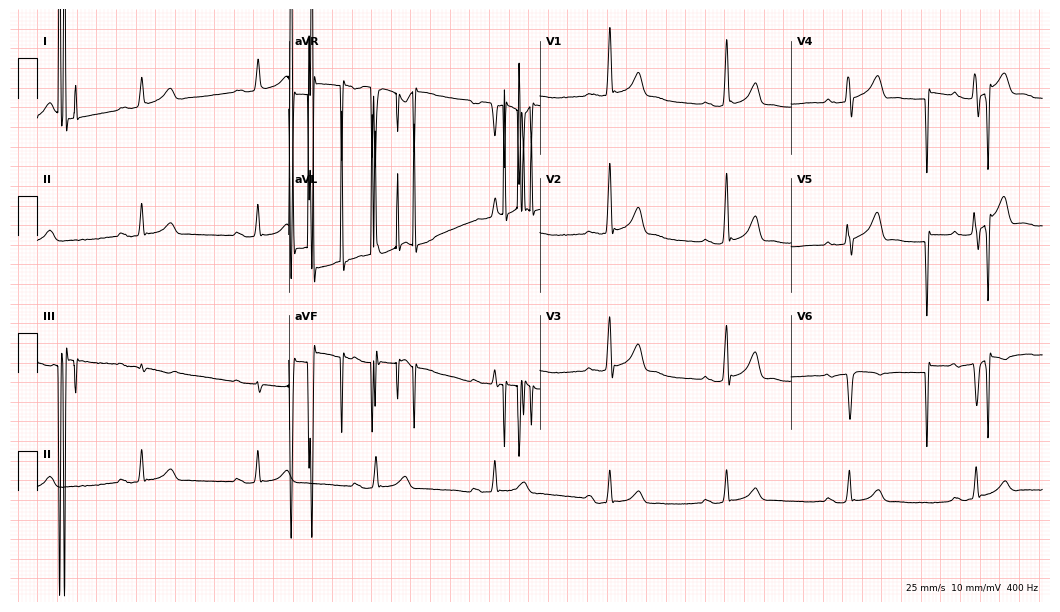
ECG (10.2-second recording at 400 Hz) — an 80-year-old woman. Screened for six findings — first-degree AV block, right bundle branch block (RBBB), left bundle branch block (LBBB), sinus bradycardia, atrial fibrillation (AF), sinus tachycardia — none is recorded.